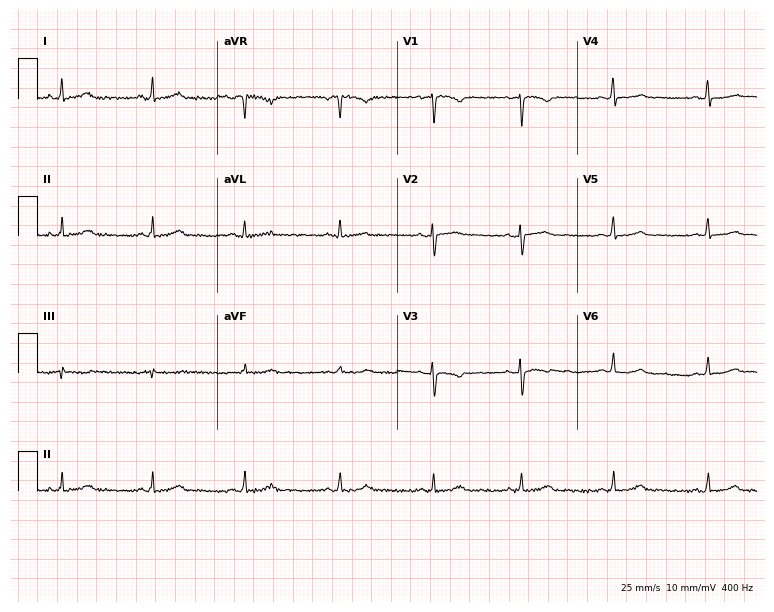
12-lead ECG from a 33-year-old female patient. Labelled as a normal ECG.